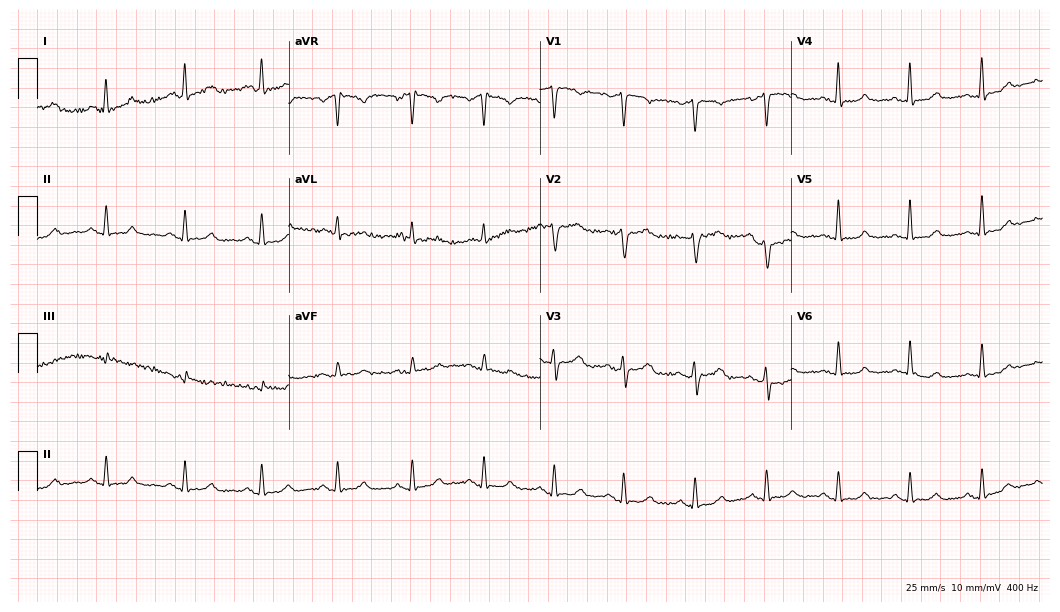
ECG — a woman, 54 years old. Screened for six findings — first-degree AV block, right bundle branch block, left bundle branch block, sinus bradycardia, atrial fibrillation, sinus tachycardia — none is recorded. Only these six findings were labelled.